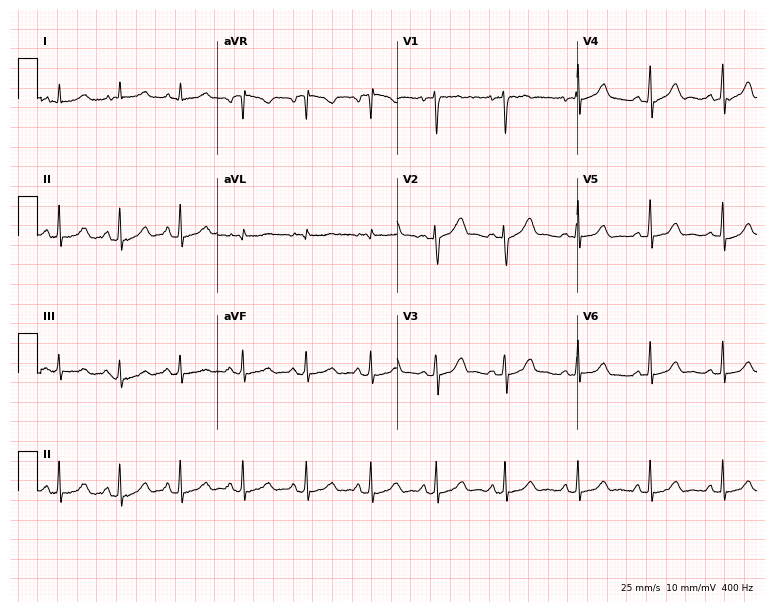
12-lead ECG (7.3-second recording at 400 Hz) from a 28-year-old woman. Labelled as a normal ECG.